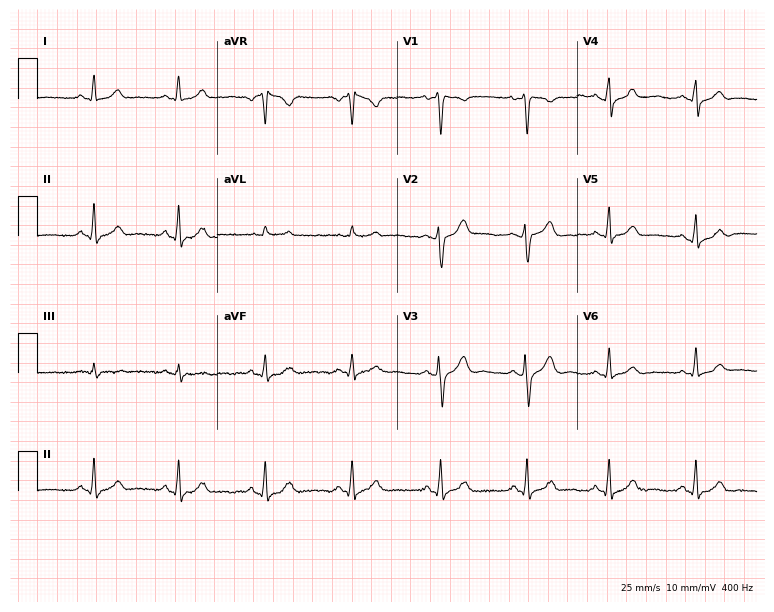
Standard 12-lead ECG recorded from a female, 35 years old (7.3-second recording at 400 Hz). Read as a normal ECG.